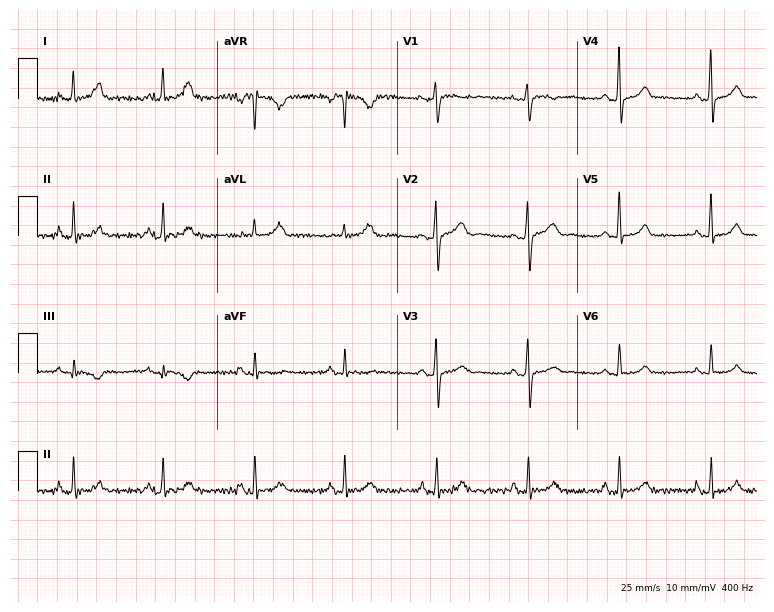
12-lead ECG from a female patient, 58 years old. No first-degree AV block, right bundle branch block (RBBB), left bundle branch block (LBBB), sinus bradycardia, atrial fibrillation (AF) or sinus tachycardia recorded for this tracing.